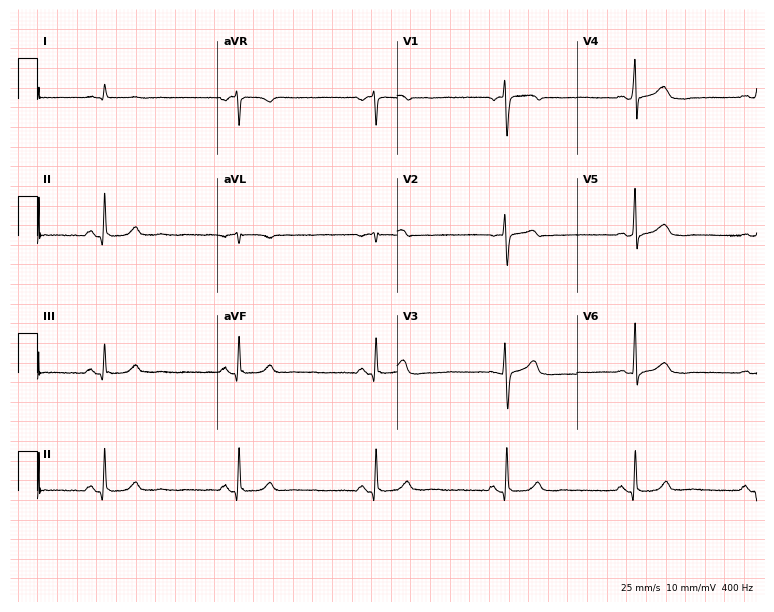
12-lead ECG from a 62-year-old man (7.3-second recording at 400 Hz). Shows sinus bradycardia (a sinus rate of 50 beats per minute or less).